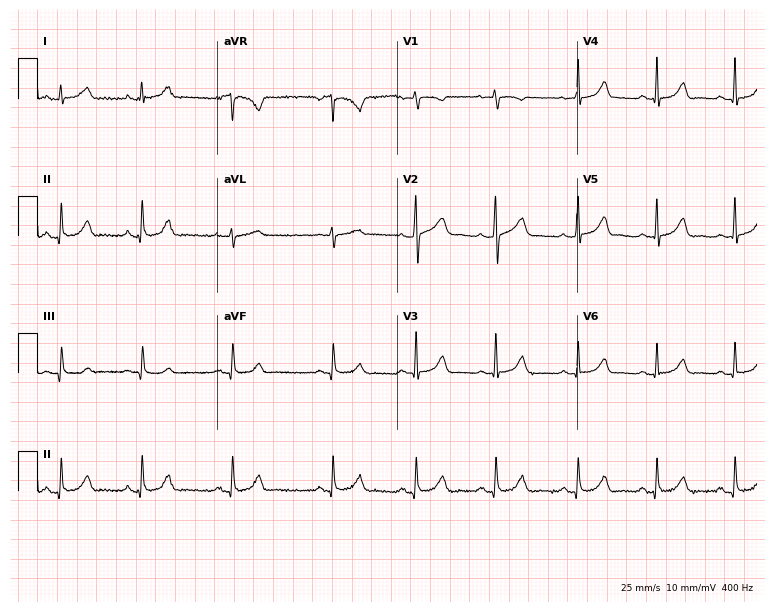
Standard 12-lead ECG recorded from a 27-year-old female (7.3-second recording at 400 Hz). None of these six findings is recorded: first-degree AV block, right bundle branch block, left bundle branch block, sinus bradycardia, atrial fibrillation, sinus tachycardia. Findings outside these six are not listed.